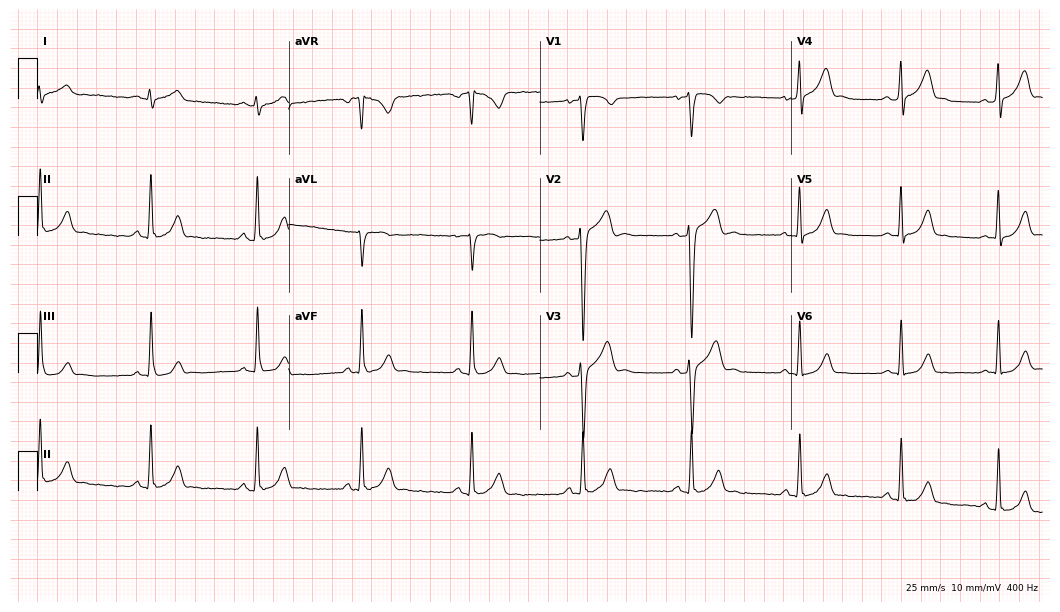
12-lead ECG (10.2-second recording at 400 Hz) from a male patient, 27 years old. Labelled as a normal ECG.